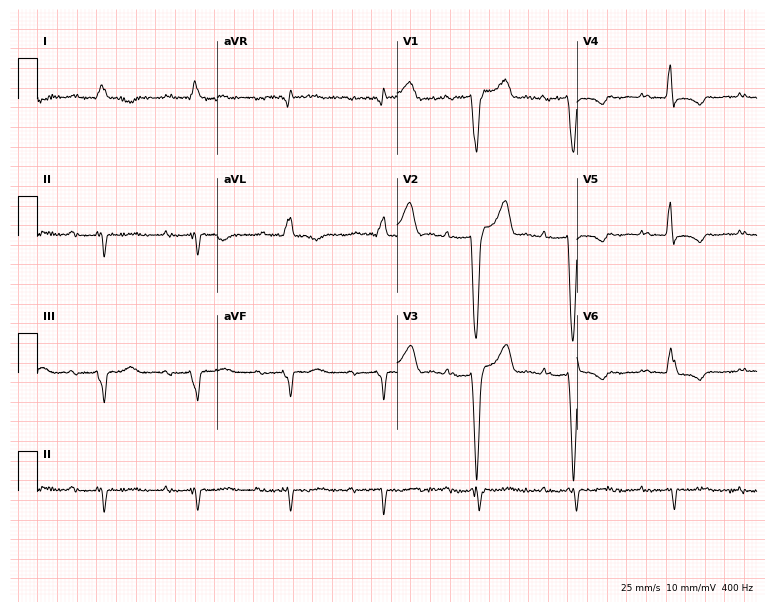
Electrocardiogram, a 67-year-old male patient. Interpretation includes first-degree AV block, left bundle branch block.